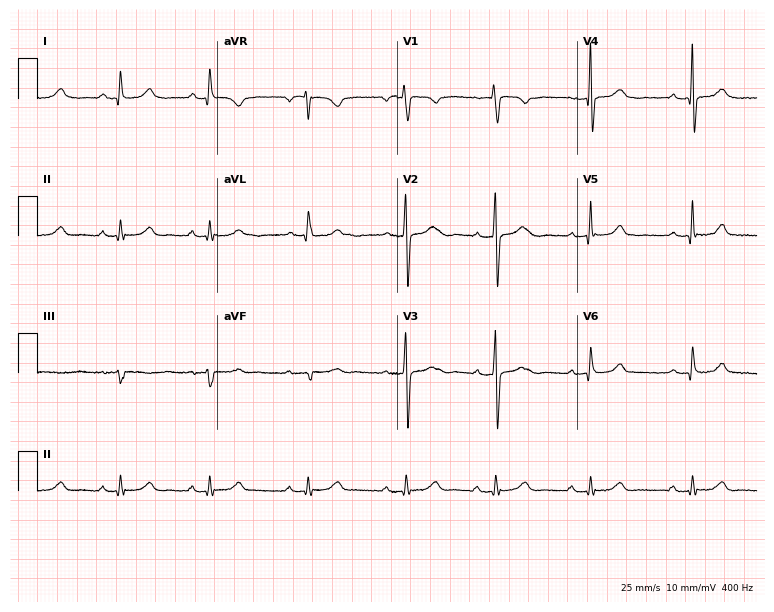
Resting 12-lead electrocardiogram. Patient: a woman, 63 years old. None of these six findings is recorded: first-degree AV block, right bundle branch block, left bundle branch block, sinus bradycardia, atrial fibrillation, sinus tachycardia. Other findings, if any, are not listed.